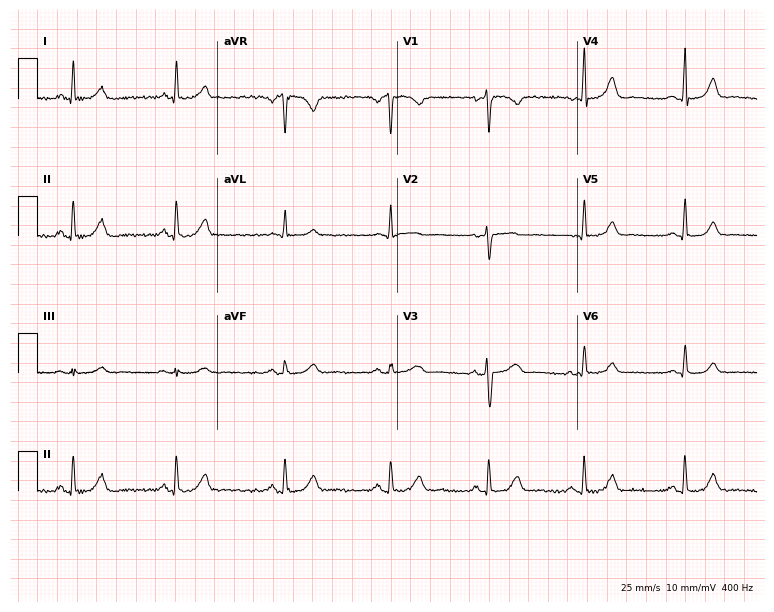
Electrocardiogram (7.3-second recording at 400 Hz), a woman, 34 years old. Overall reading on record: normal ECG.